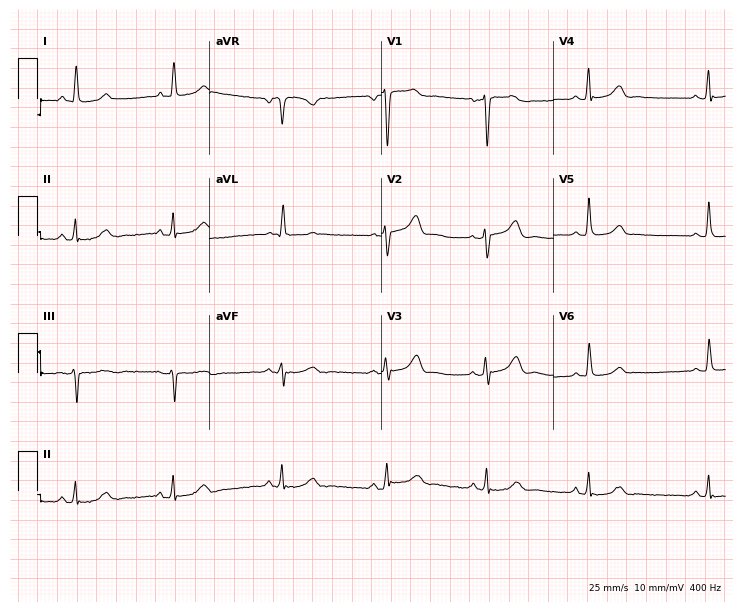
ECG (7-second recording at 400 Hz) — a 64-year-old female patient. Labelled as a normal ECG.